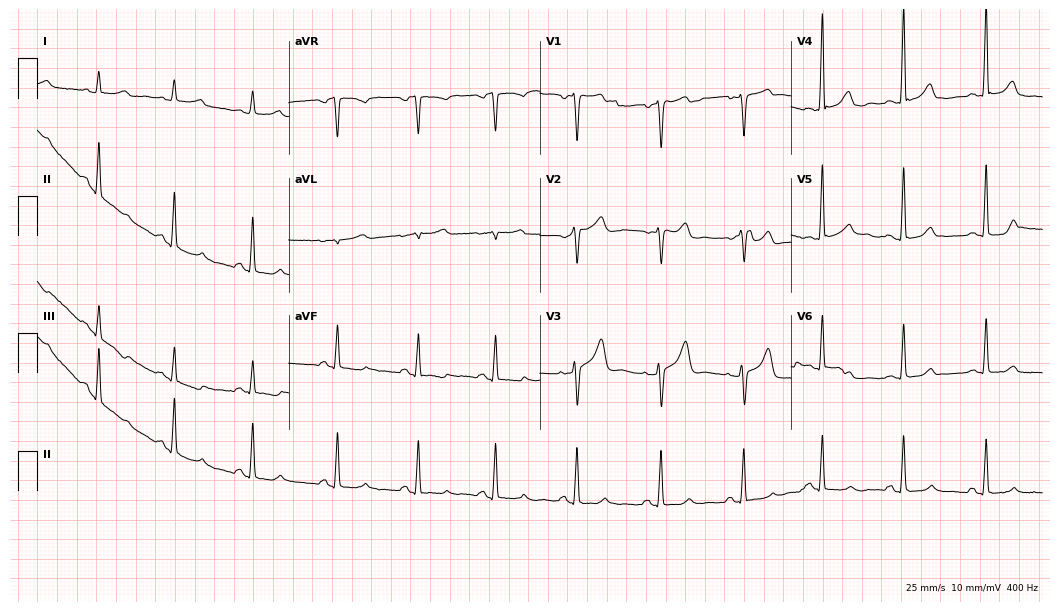
Electrocardiogram, a 52-year-old female patient. Overall reading on record: normal ECG.